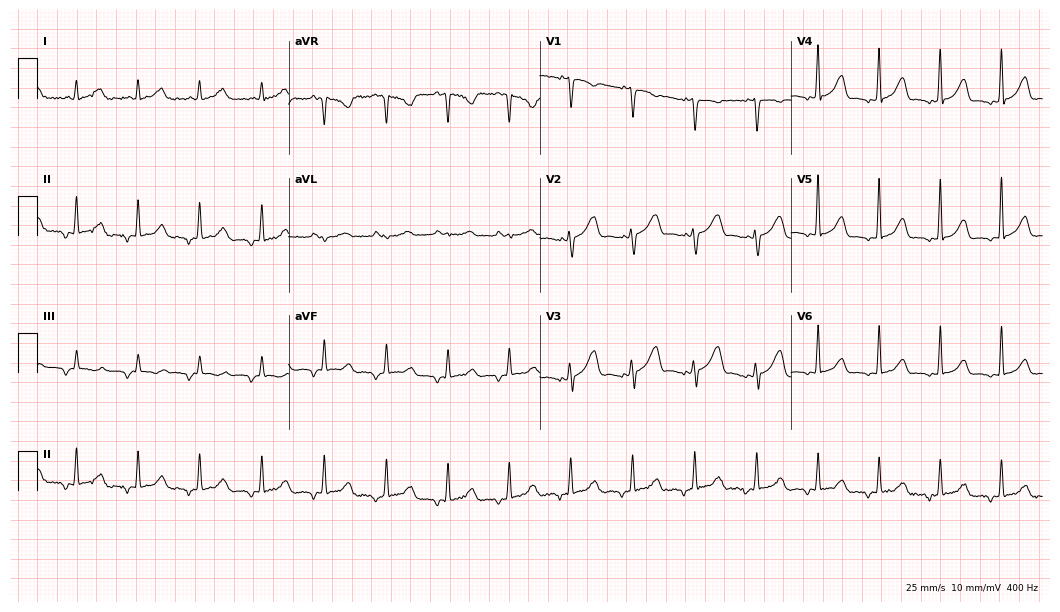
Resting 12-lead electrocardiogram (10.2-second recording at 400 Hz). Patient: a female, 37 years old. Read as a normal ECG.